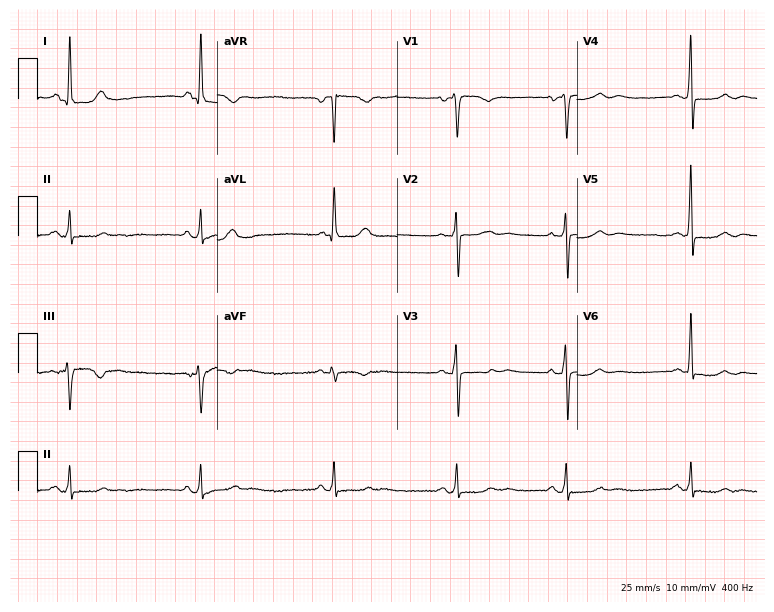
12-lead ECG from a female, 53 years old (7.3-second recording at 400 Hz). No first-degree AV block, right bundle branch block, left bundle branch block, sinus bradycardia, atrial fibrillation or sinus tachycardia recorded for this tracing.